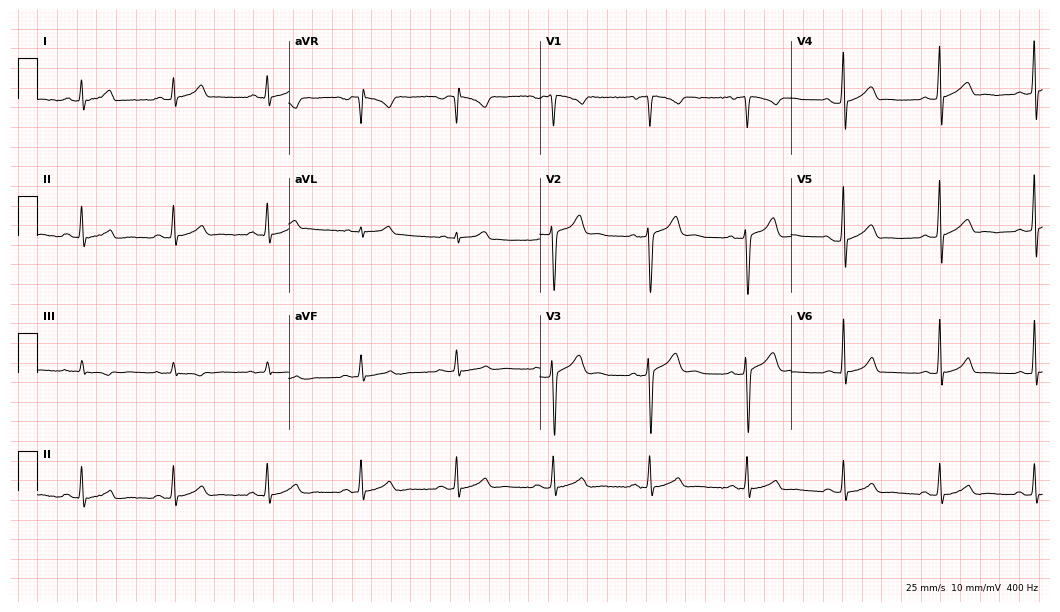
12-lead ECG from a 27-year-old female patient. Labelled as a normal ECG.